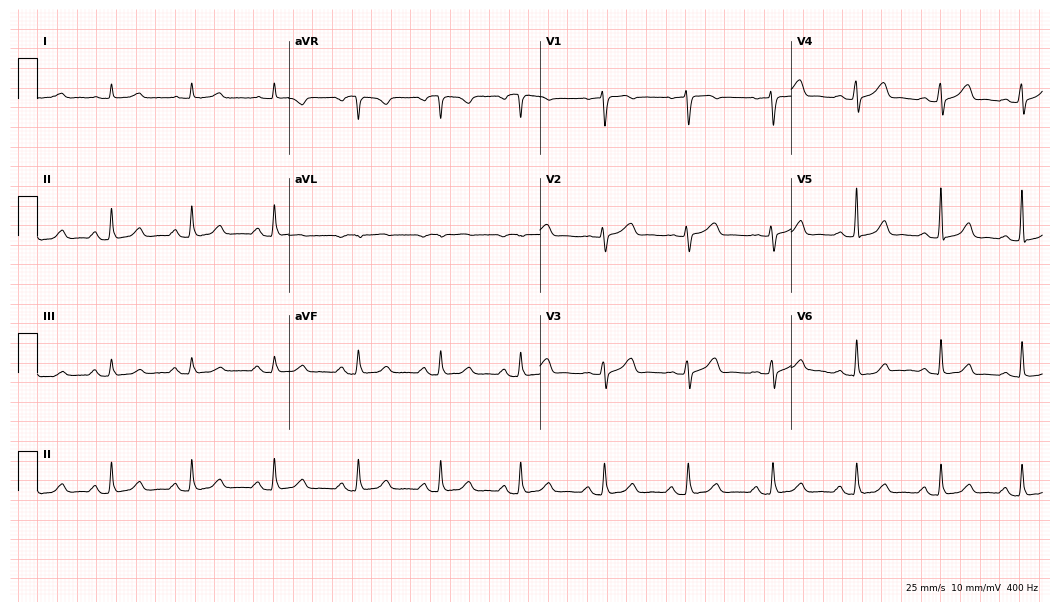
12-lead ECG from a 64-year-old woman (10.2-second recording at 400 Hz). Recorded interpretation: within normal limits.